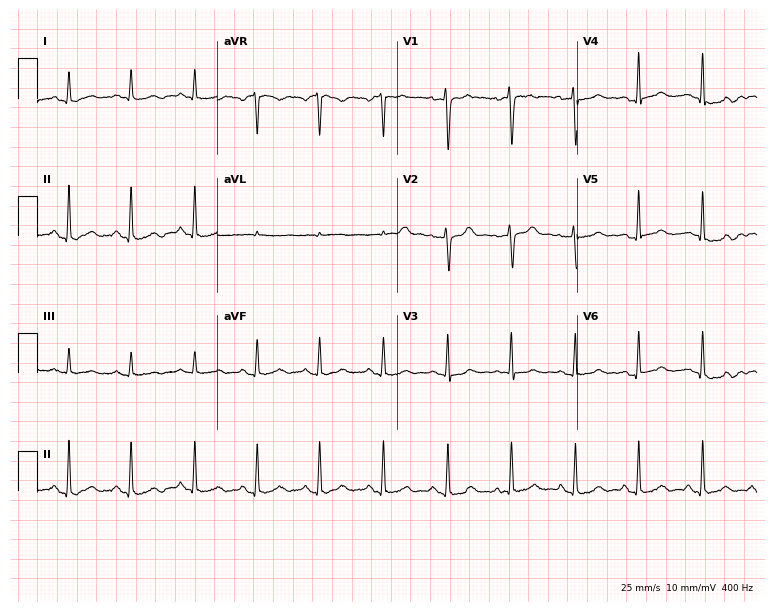
12-lead ECG from a 34-year-old female patient. Recorded interpretation: within normal limits.